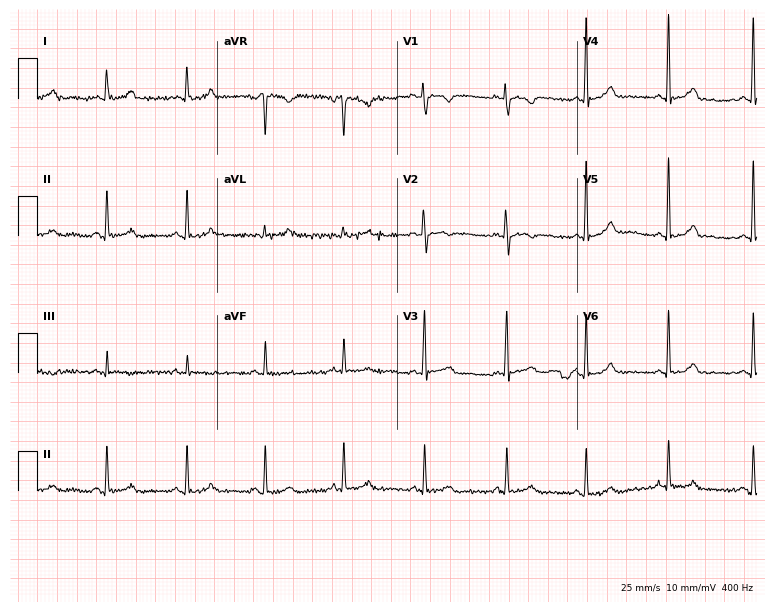
Electrocardiogram (7.3-second recording at 400 Hz), a 31-year-old woman. Overall reading on record: normal ECG.